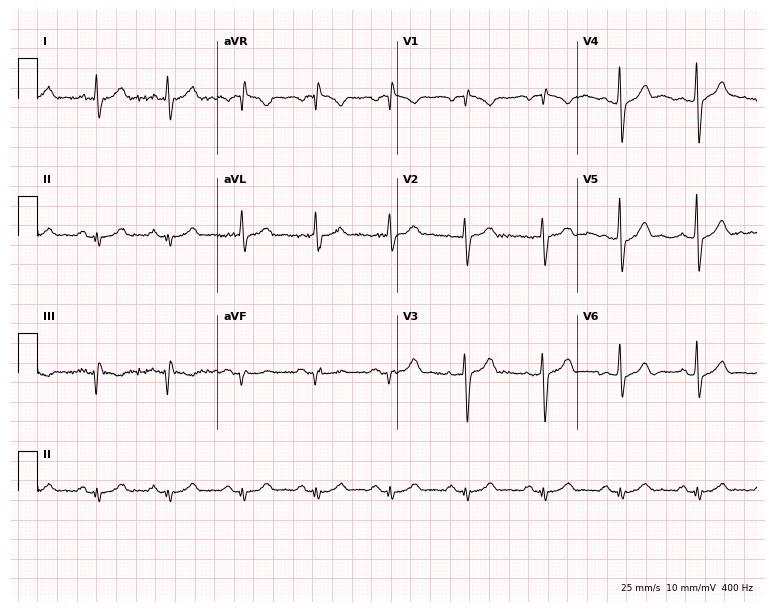
Resting 12-lead electrocardiogram (7.3-second recording at 400 Hz). Patient: a man, 55 years old. None of these six findings is recorded: first-degree AV block, right bundle branch block (RBBB), left bundle branch block (LBBB), sinus bradycardia, atrial fibrillation (AF), sinus tachycardia.